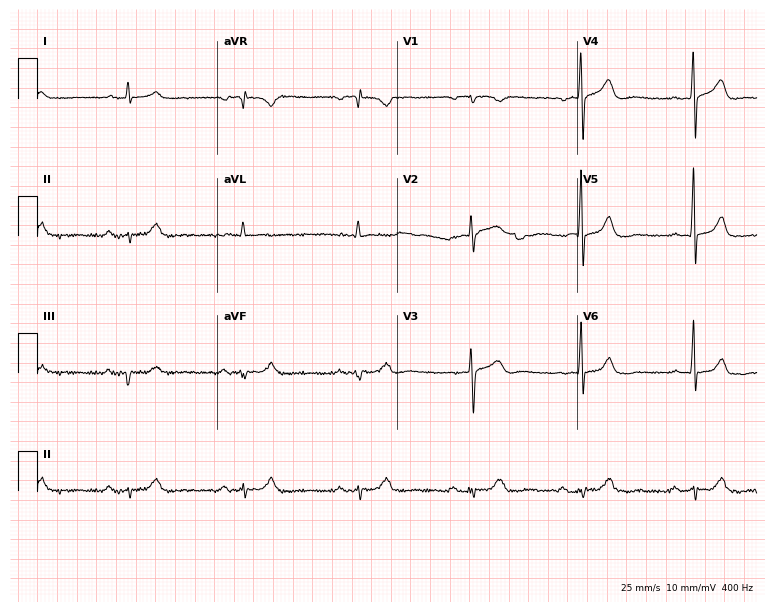
12-lead ECG (7.3-second recording at 400 Hz) from a man, 85 years old. Labelled as a normal ECG.